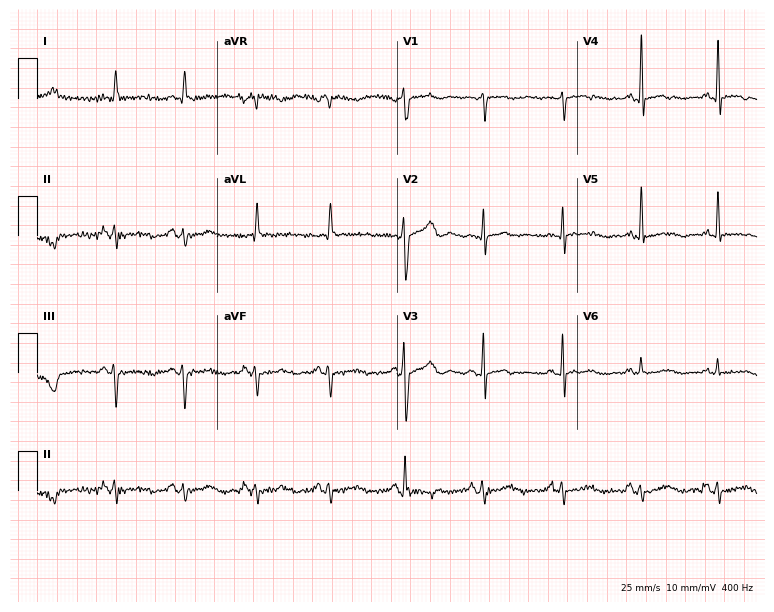
Resting 12-lead electrocardiogram (7.3-second recording at 400 Hz). Patient: a male, 77 years old. None of these six findings is recorded: first-degree AV block, right bundle branch block, left bundle branch block, sinus bradycardia, atrial fibrillation, sinus tachycardia.